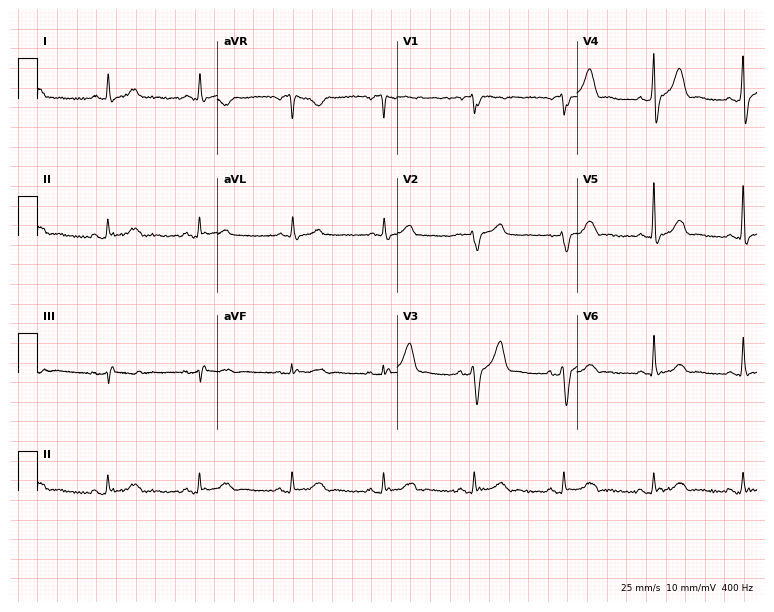
Resting 12-lead electrocardiogram. Patient: a male, 49 years old. Read as a normal ECG.